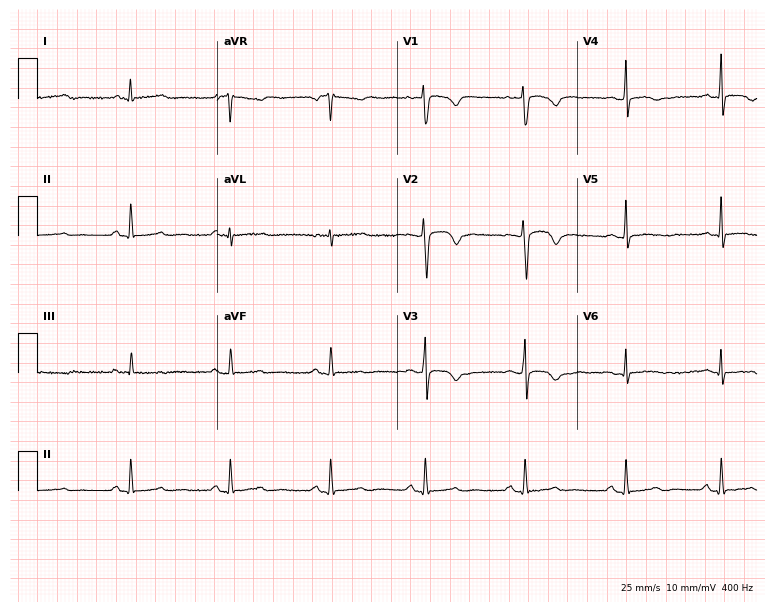
Resting 12-lead electrocardiogram (7.3-second recording at 400 Hz). Patient: a female, 25 years old. None of these six findings is recorded: first-degree AV block, right bundle branch block, left bundle branch block, sinus bradycardia, atrial fibrillation, sinus tachycardia. Findings outside these six are not listed.